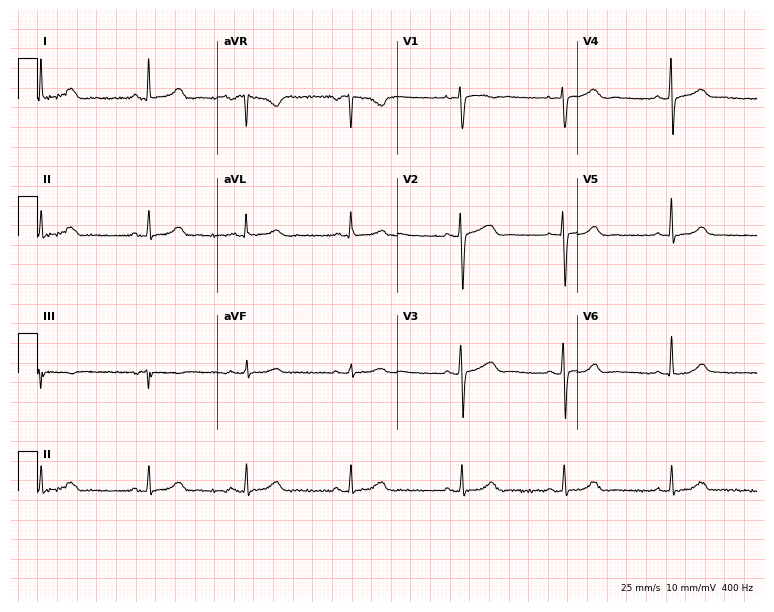
12-lead ECG (7.3-second recording at 400 Hz) from a female patient, 41 years old. Labelled as a normal ECG.